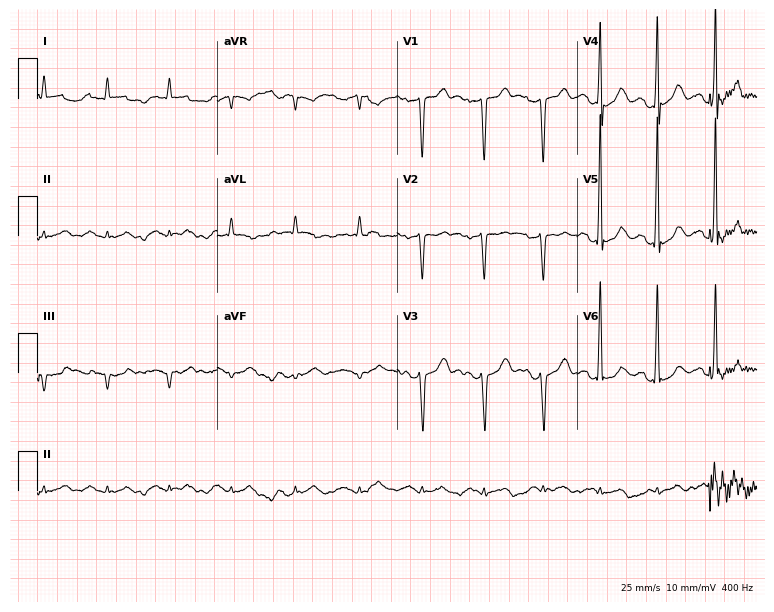
Electrocardiogram (7.3-second recording at 400 Hz), a 53-year-old man. Of the six screened findings (first-degree AV block, right bundle branch block (RBBB), left bundle branch block (LBBB), sinus bradycardia, atrial fibrillation (AF), sinus tachycardia), none is recorded.